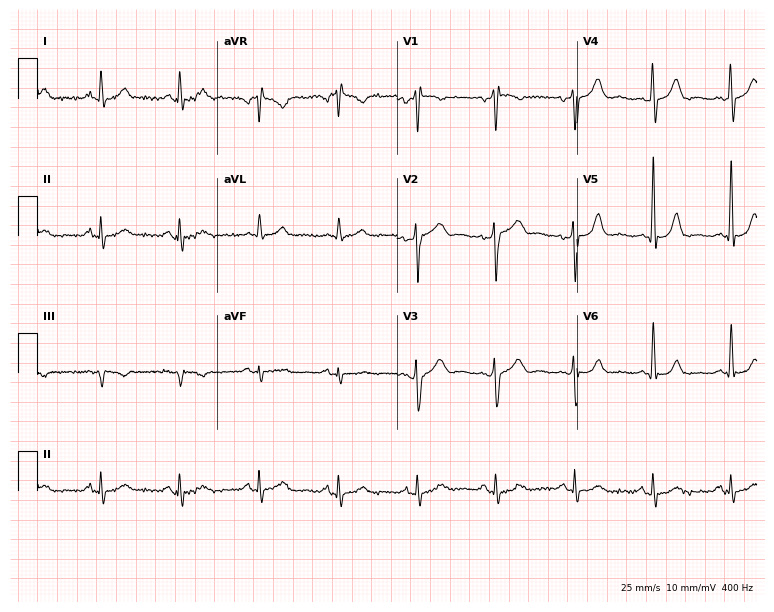
Electrocardiogram (7.3-second recording at 400 Hz), a 76-year-old man. Of the six screened findings (first-degree AV block, right bundle branch block (RBBB), left bundle branch block (LBBB), sinus bradycardia, atrial fibrillation (AF), sinus tachycardia), none is recorded.